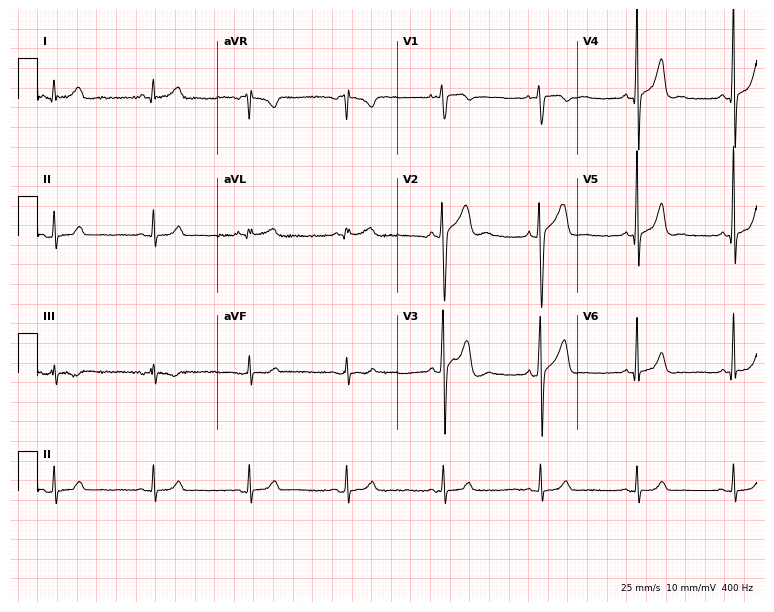
Standard 12-lead ECG recorded from a male patient, 28 years old. Read as a normal ECG.